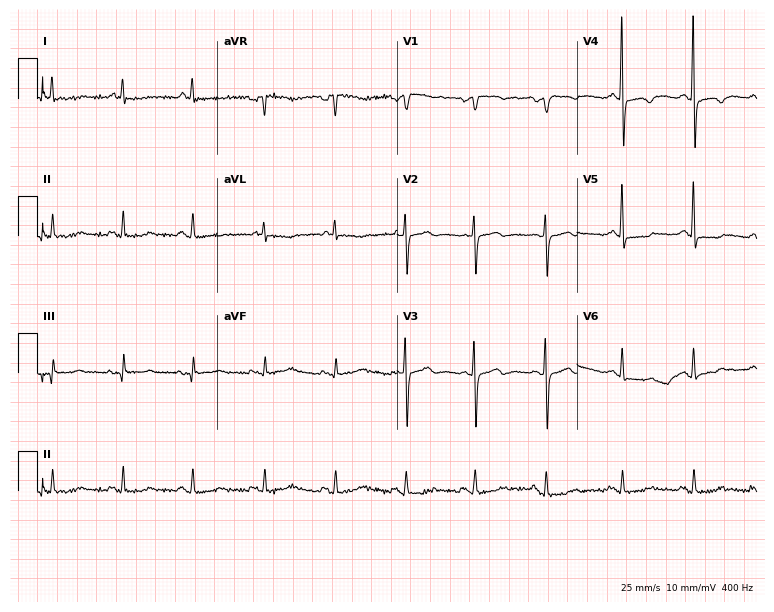
12-lead ECG from a 63-year-old woman. Screened for six findings — first-degree AV block, right bundle branch block (RBBB), left bundle branch block (LBBB), sinus bradycardia, atrial fibrillation (AF), sinus tachycardia — none is recorded. Findings outside these six are not listed.